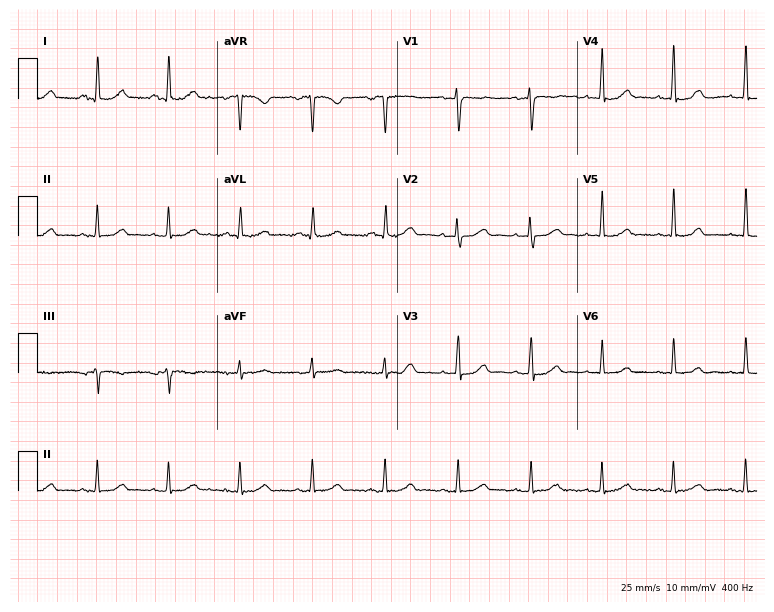
ECG (7.3-second recording at 400 Hz) — a 66-year-old female patient. Labelled as a normal ECG.